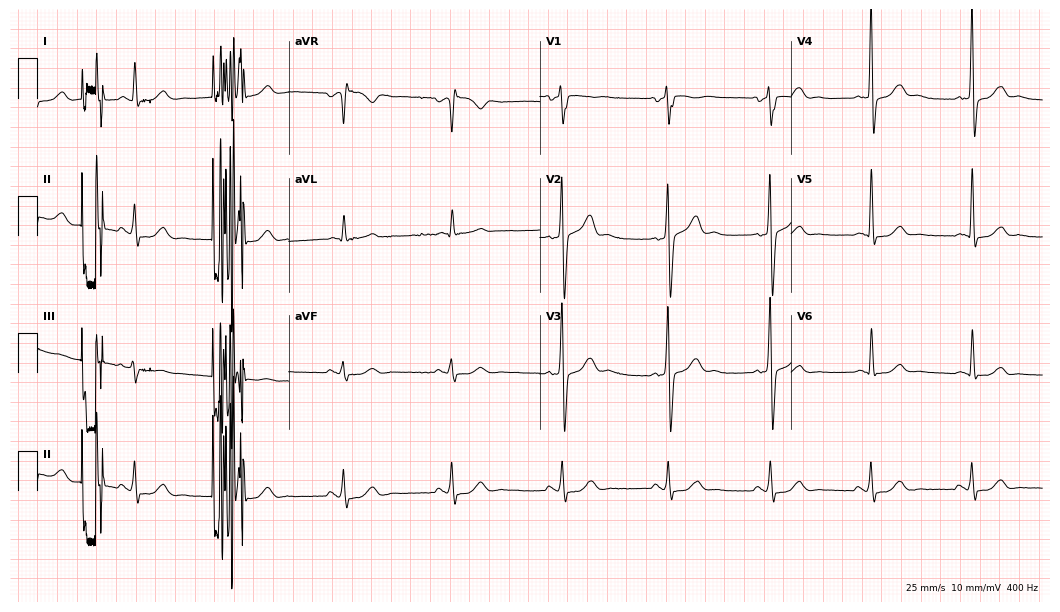
ECG — a male patient, 49 years old. Screened for six findings — first-degree AV block, right bundle branch block (RBBB), left bundle branch block (LBBB), sinus bradycardia, atrial fibrillation (AF), sinus tachycardia — none is recorded. Only these six findings were labelled.